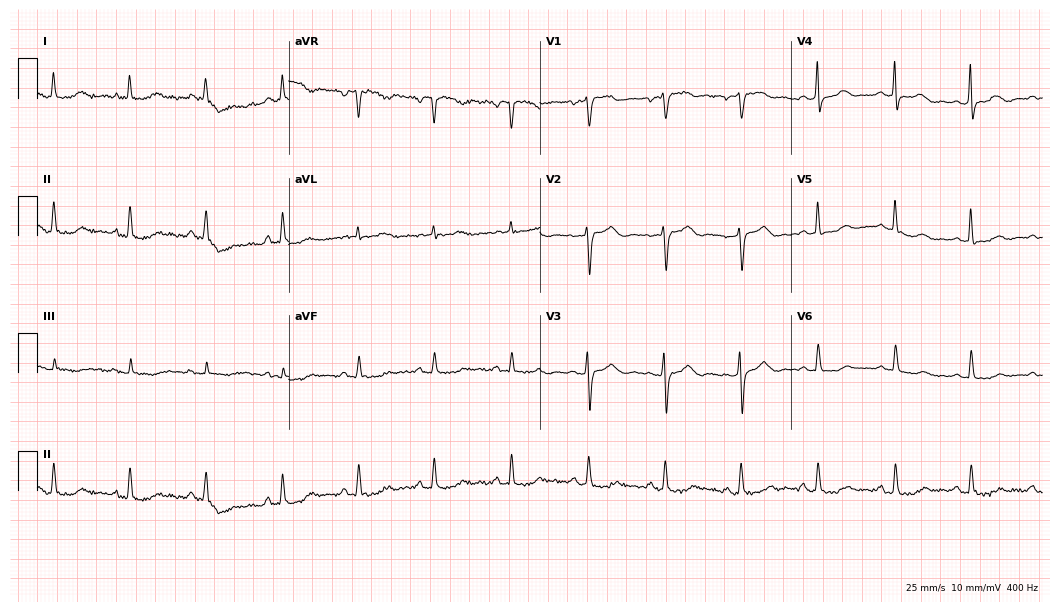
12-lead ECG from a 68-year-old female patient (10.2-second recording at 400 Hz). No first-degree AV block, right bundle branch block (RBBB), left bundle branch block (LBBB), sinus bradycardia, atrial fibrillation (AF) or sinus tachycardia recorded for this tracing. Other findings, if any, are not listed.